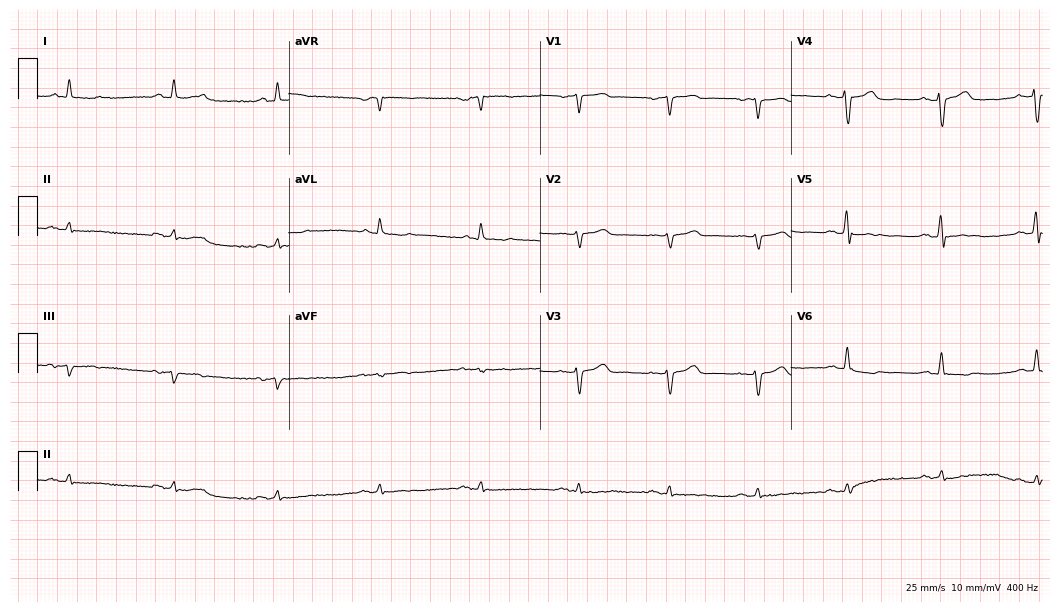
12-lead ECG (10.2-second recording at 400 Hz) from a male patient, 71 years old. Screened for six findings — first-degree AV block, right bundle branch block, left bundle branch block, sinus bradycardia, atrial fibrillation, sinus tachycardia — none is recorded.